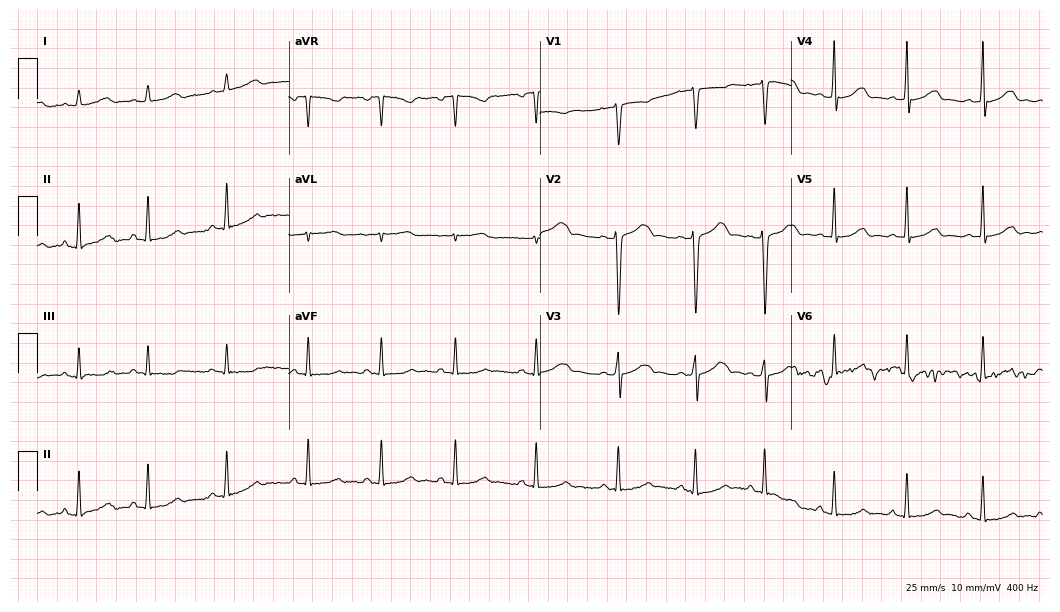
Resting 12-lead electrocardiogram. Patient: a female, 39 years old. Read as a normal ECG.